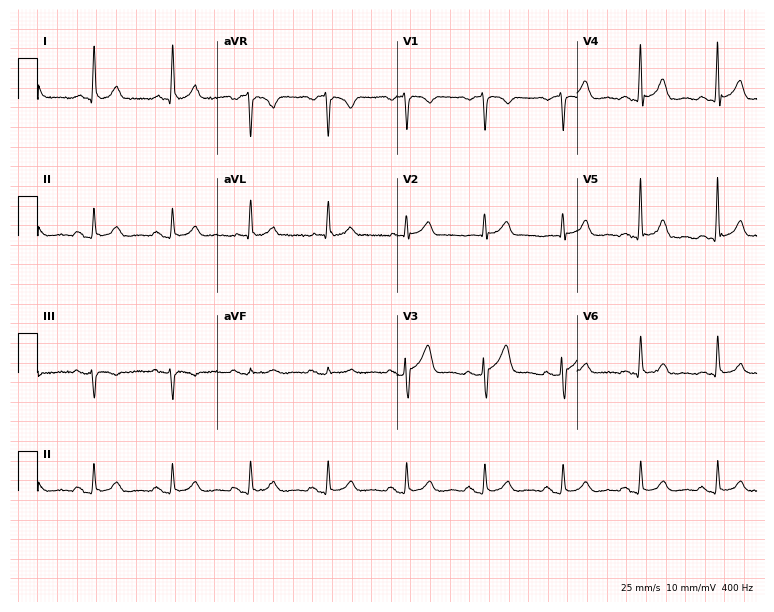
Standard 12-lead ECG recorded from a 73-year-old male patient (7.3-second recording at 400 Hz). Read as a normal ECG.